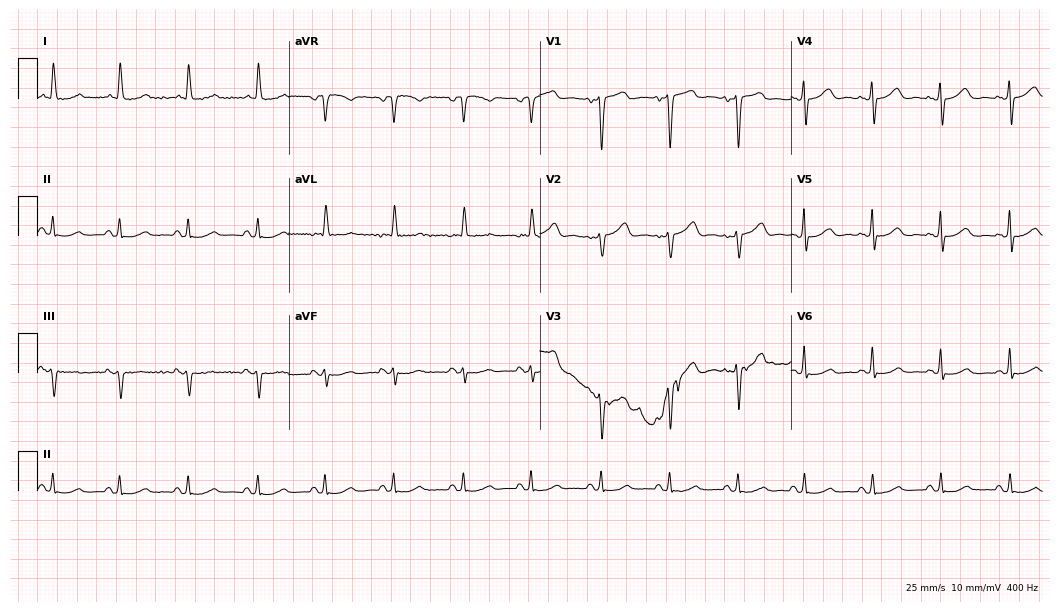
12-lead ECG from a 62-year-old female. Screened for six findings — first-degree AV block, right bundle branch block, left bundle branch block, sinus bradycardia, atrial fibrillation, sinus tachycardia — none is recorded. Other findings, if any, are not listed.